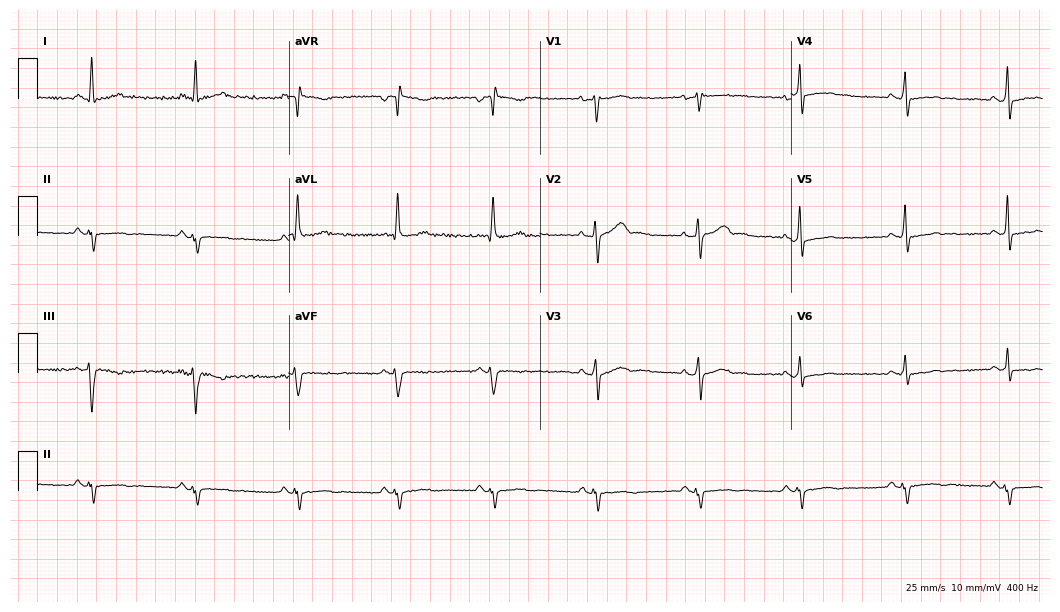
Resting 12-lead electrocardiogram (10.2-second recording at 400 Hz). Patient: a 37-year-old female. None of these six findings is recorded: first-degree AV block, right bundle branch block, left bundle branch block, sinus bradycardia, atrial fibrillation, sinus tachycardia.